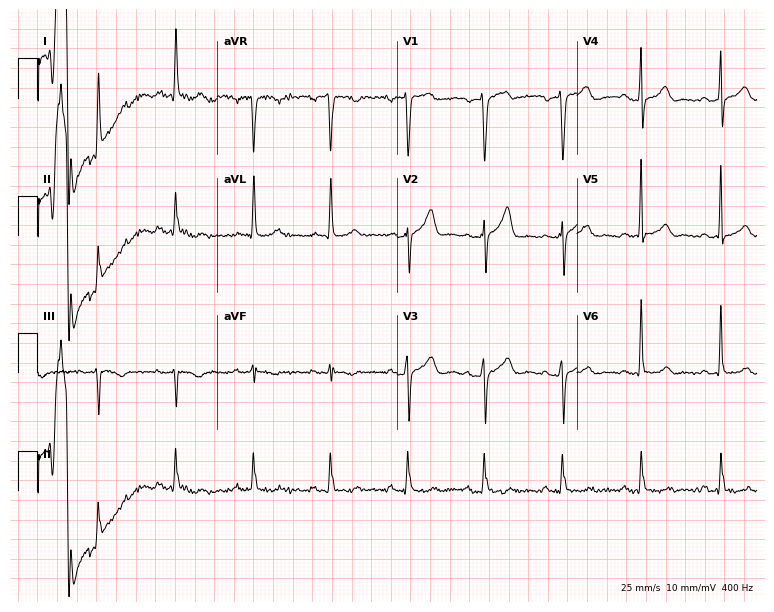
12-lead ECG from a male, 58 years old. Recorded interpretation: within normal limits.